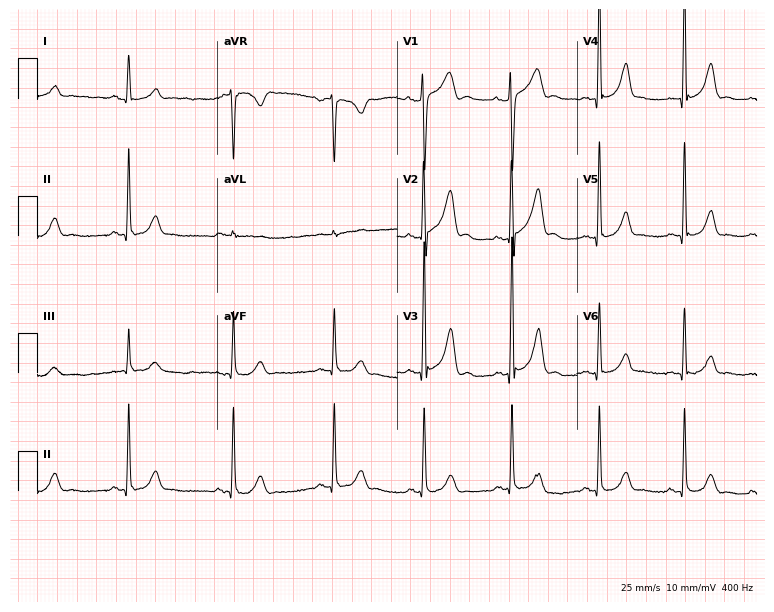
Standard 12-lead ECG recorded from a 24-year-old male patient (7.3-second recording at 400 Hz). Read as a normal ECG.